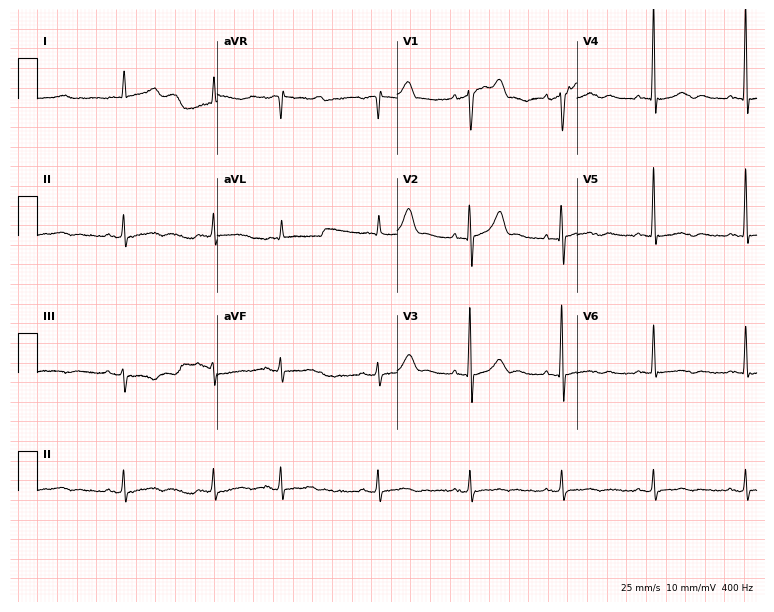
Electrocardiogram, an 83-year-old man. Of the six screened findings (first-degree AV block, right bundle branch block (RBBB), left bundle branch block (LBBB), sinus bradycardia, atrial fibrillation (AF), sinus tachycardia), none is recorded.